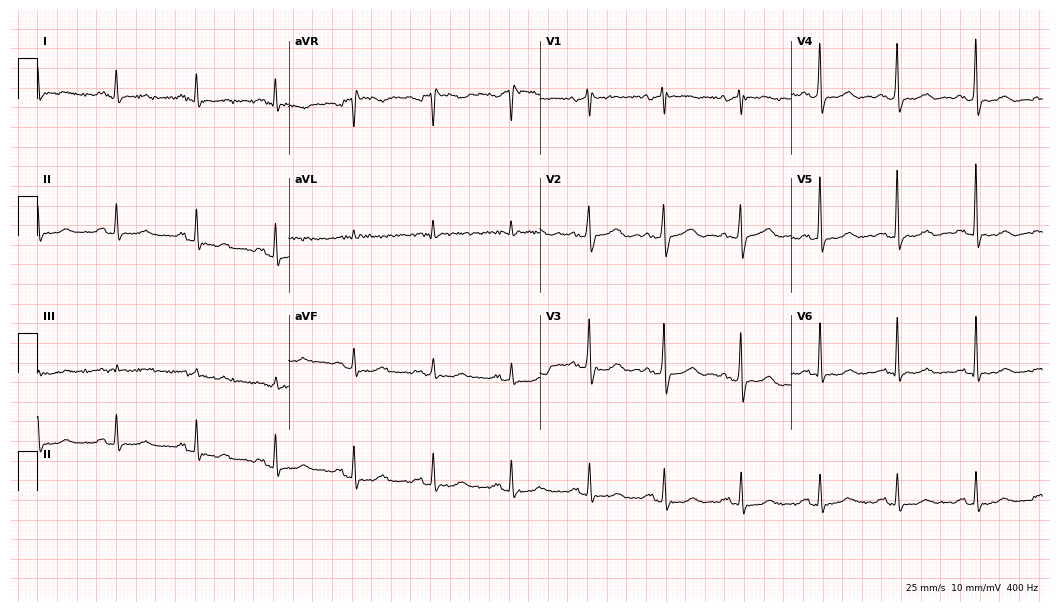
12-lead ECG from a 72-year-old male (10.2-second recording at 400 Hz). Recorded interpretation: within normal limits.